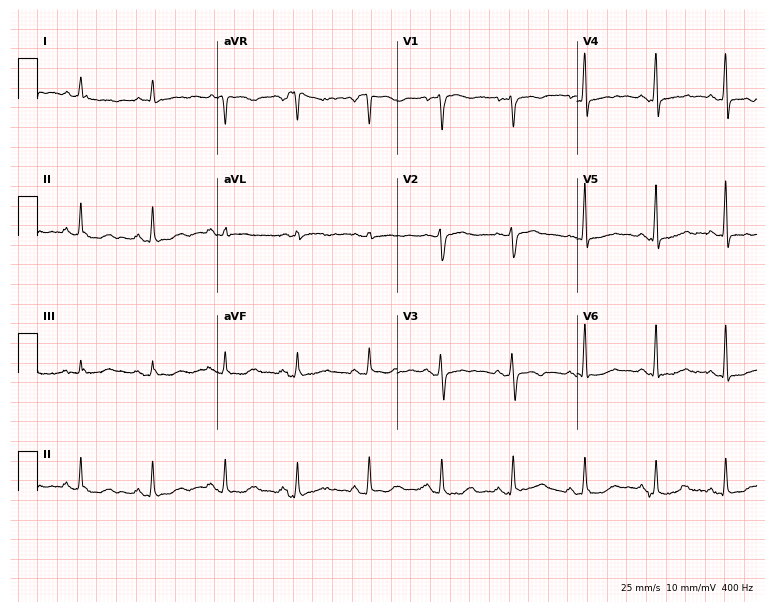
Resting 12-lead electrocardiogram (7.3-second recording at 400 Hz). Patient: a 52-year-old female. None of these six findings is recorded: first-degree AV block, right bundle branch block, left bundle branch block, sinus bradycardia, atrial fibrillation, sinus tachycardia. Findings outside these six are not listed.